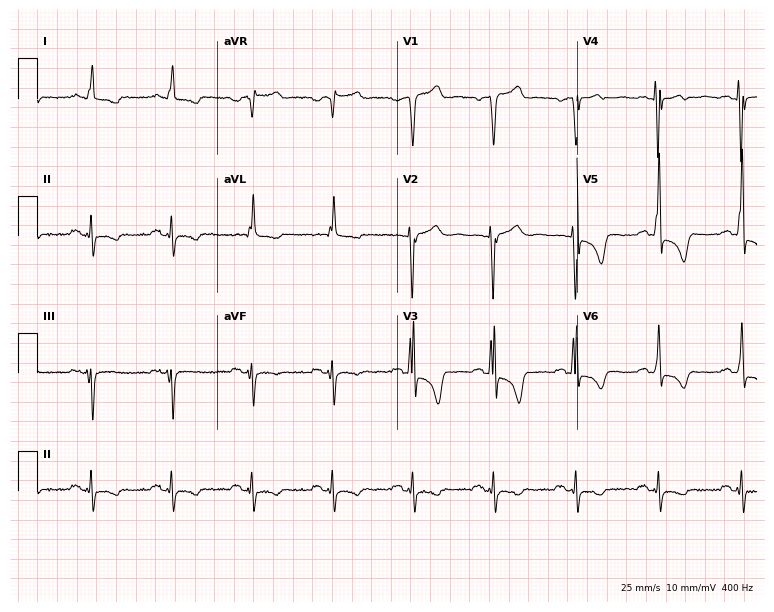
Electrocardiogram (7.3-second recording at 400 Hz), a male, 66 years old. Of the six screened findings (first-degree AV block, right bundle branch block, left bundle branch block, sinus bradycardia, atrial fibrillation, sinus tachycardia), none is recorded. Only these six findings were labelled.